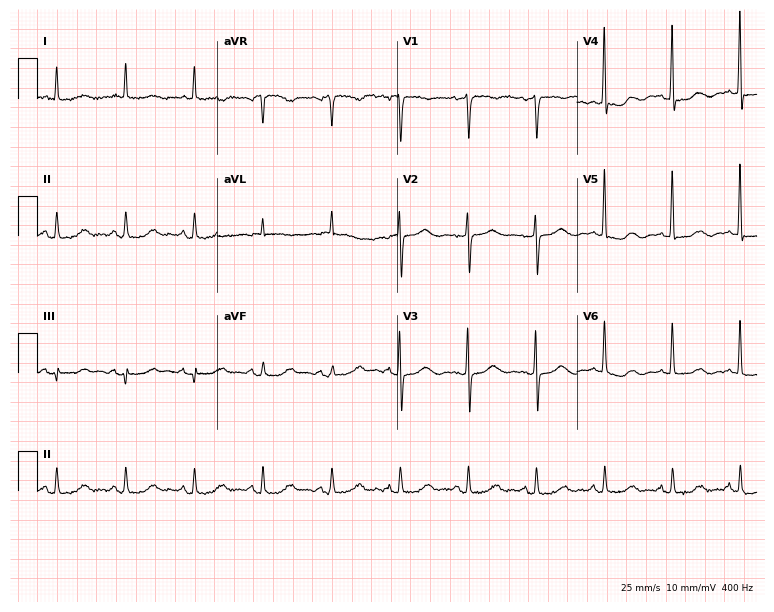
Resting 12-lead electrocardiogram (7.3-second recording at 400 Hz). Patient: a 65-year-old woman. None of these six findings is recorded: first-degree AV block, right bundle branch block, left bundle branch block, sinus bradycardia, atrial fibrillation, sinus tachycardia.